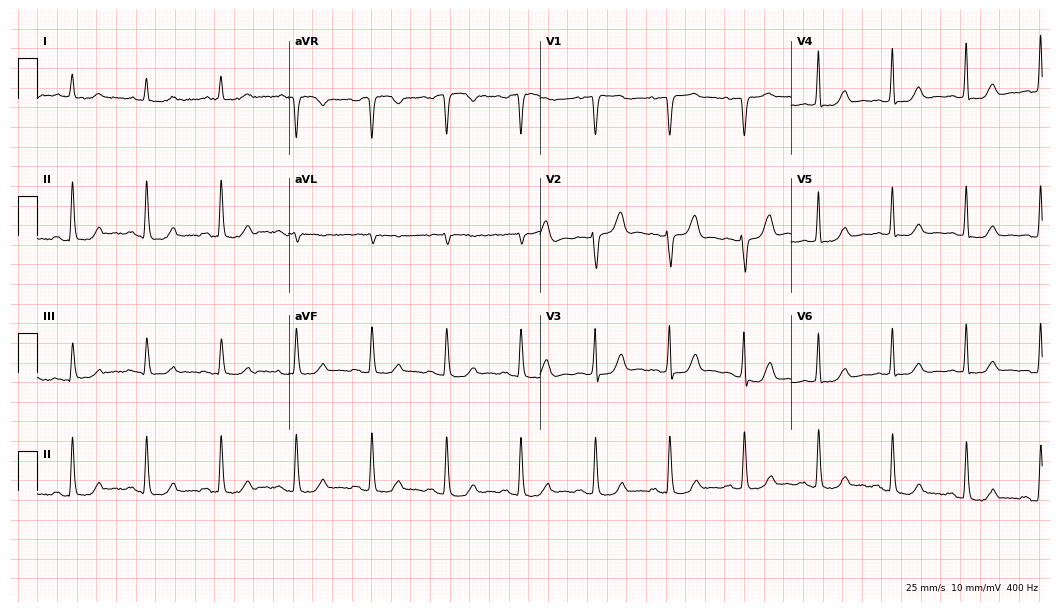
ECG — an 80-year-old male. Screened for six findings — first-degree AV block, right bundle branch block, left bundle branch block, sinus bradycardia, atrial fibrillation, sinus tachycardia — none is recorded. Only these six findings were labelled.